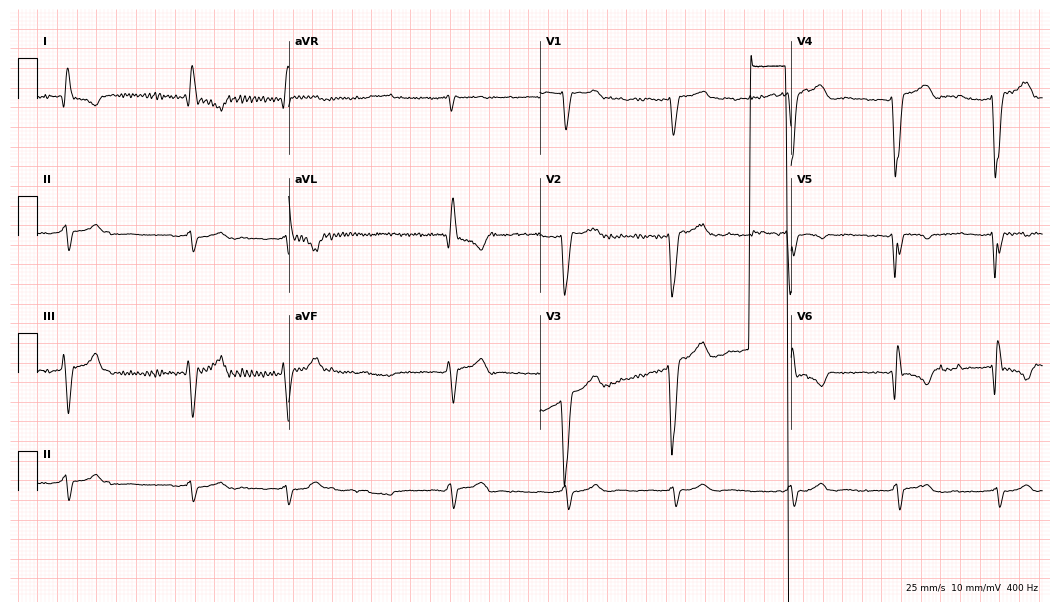
ECG (10.2-second recording at 400 Hz) — a female patient, 70 years old. Screened for six findings — first-degree AV block, right bundle branch block, left bundle branch block, sinus bradycardia, atrial fibrillation, sinus tachycardia — none is recorded. Other findings, if any, are not listed.